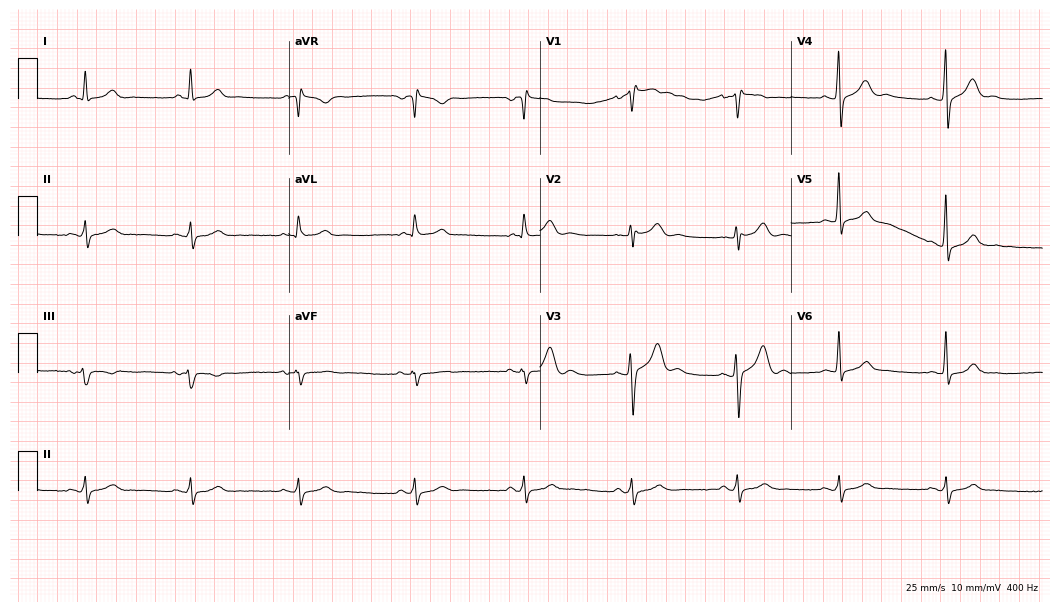
12-lead ECG from a male, 63 years old. Screened for six findings — first-degree AV block, right bundle branch block, left bundle branch block, sinus bradycardia, atrial fibrillation, sinus tachycardia — none is recorded.